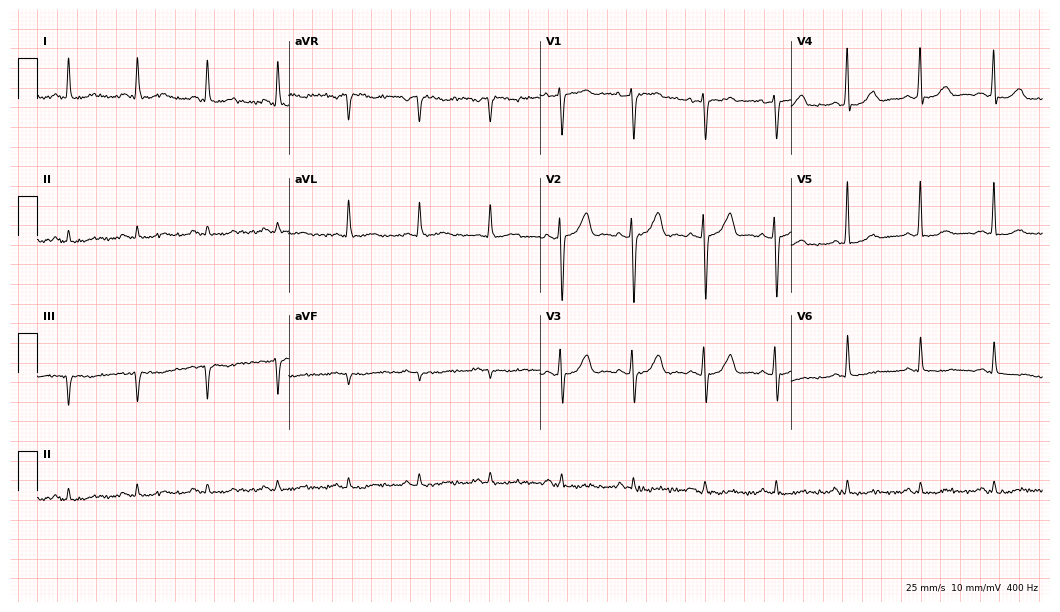
ECG — a 59-year-old woman. Labelled as a normal ECG.